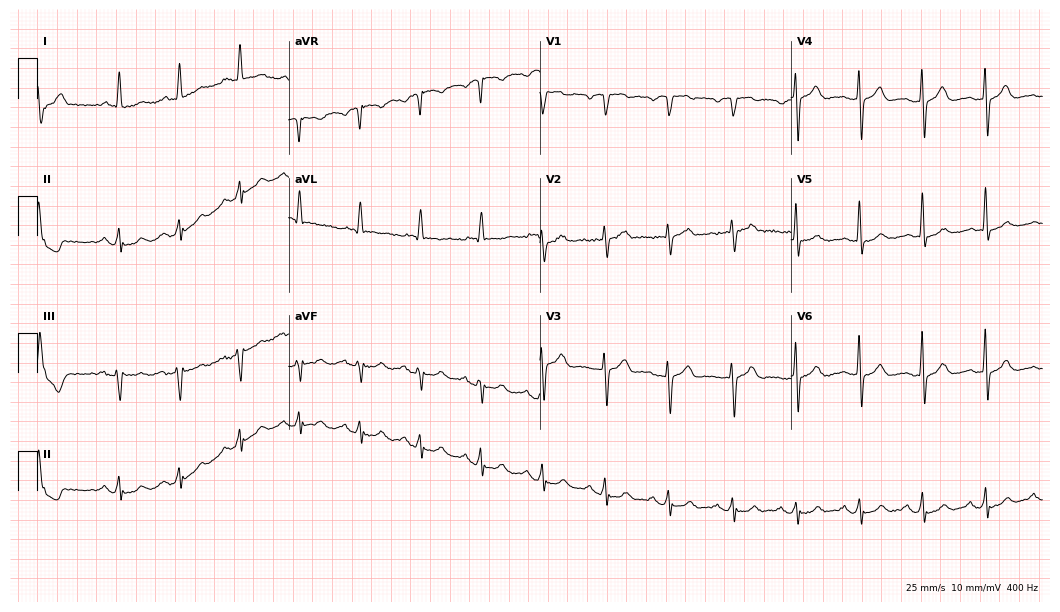
Electrocardiogram, a 75-year-old male patient. Overall reading on record: normal ECG.